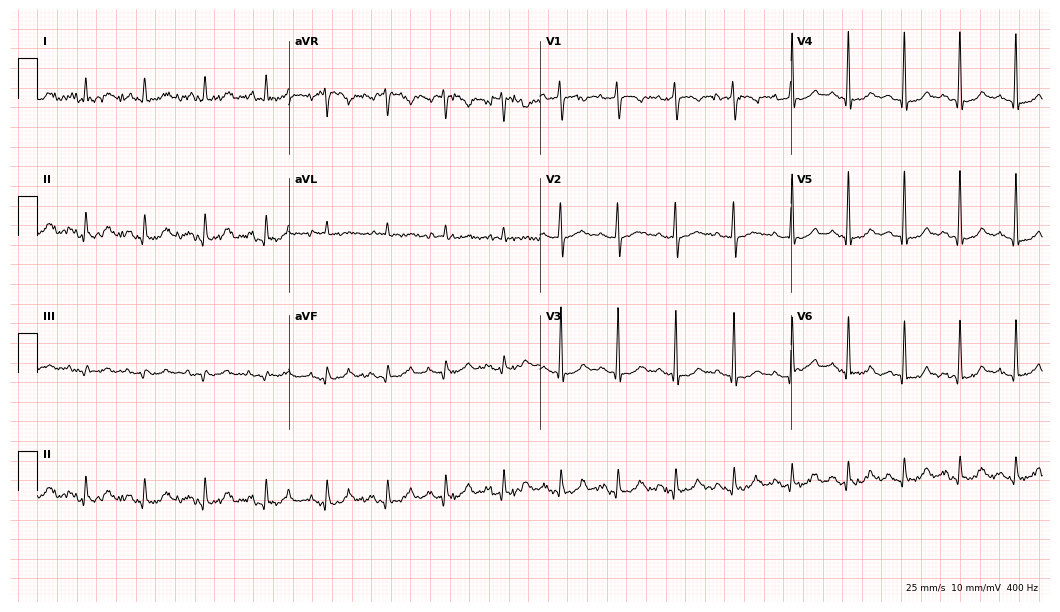
12-lead ECG from a man, 65 years old (10.2-second recording at 400 Hz). No first-degree AV block, right bundle branch block, left bundle branch block, sinus bradycardia, atrial fibrillation or sinus tachycardia recorded for this tracing.